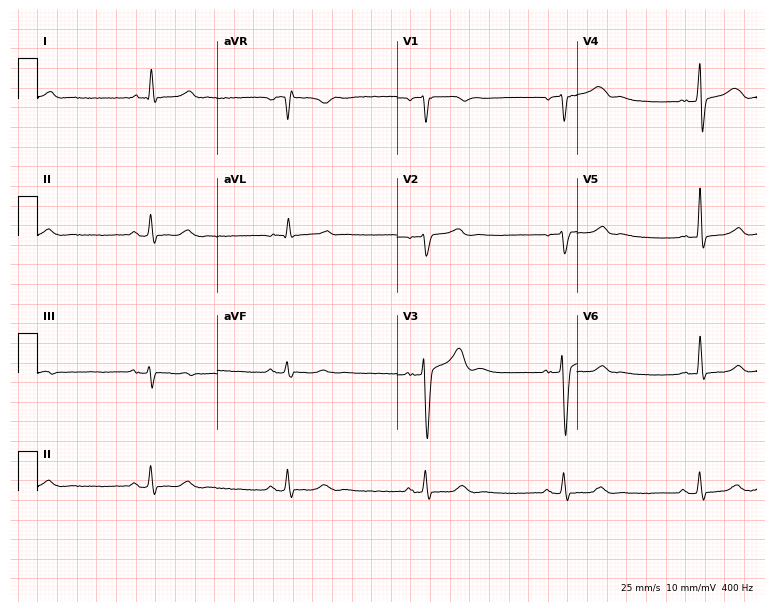
12-lead ECG from a 66-year-old man. Screened for six findings — first-degree AV block, right bundle branch block, left bundle branch block, sinus bradycardia, atrial fibrillation, sinus tachycardia — none is recorded. Other findings, if any, are not listed.